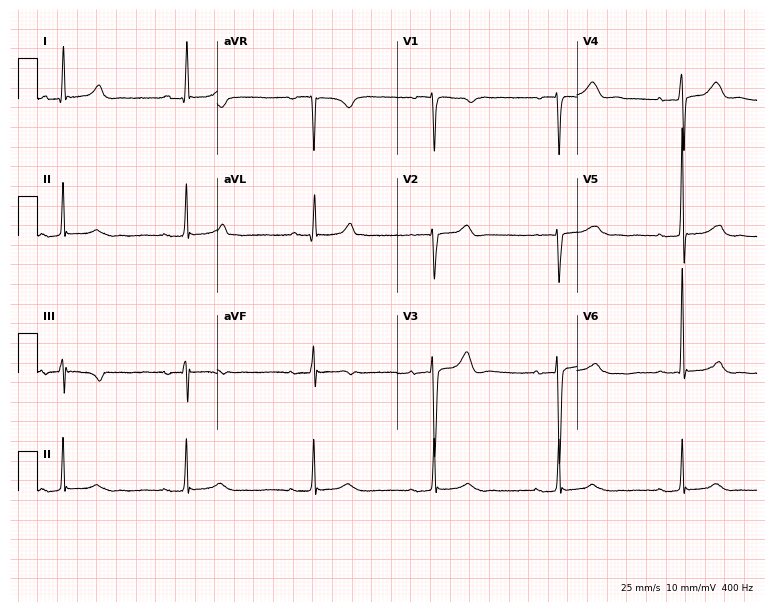
Electrocardiogram (7.3-second recording at 400 Hz), a 60-year-old female. Interpretation includes first-degree AV block, sinus bradycardia (a sinus rate of 50 beats per minute or less).